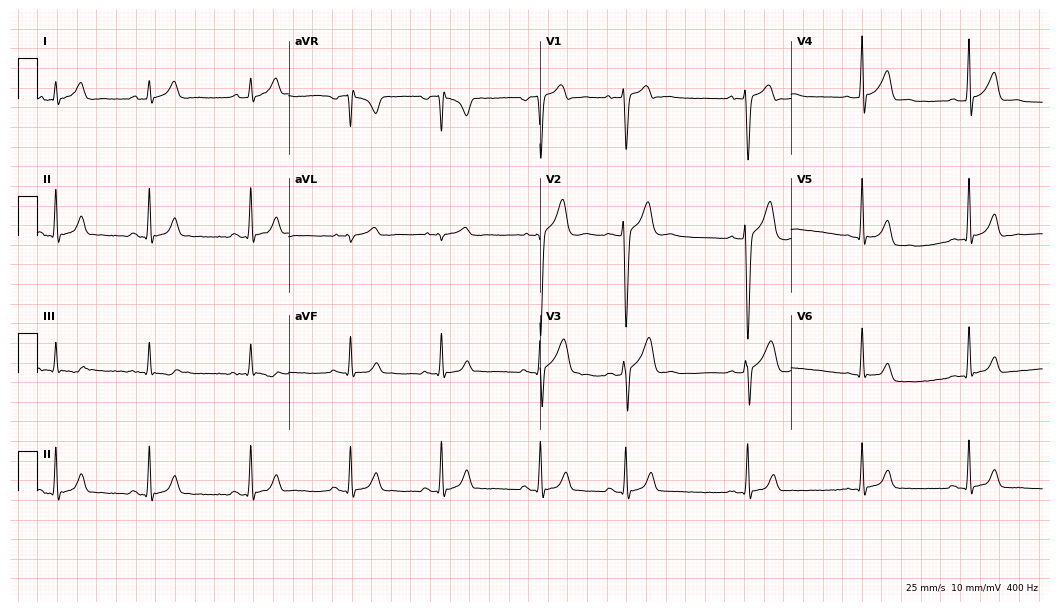
Standard 12-lead ECG recorded from a man, 23 years old (10.2-second recording at 400 Hz). None of these six findings is recorded: first-degree AV block, right bundle branch block (RBBB), left bundle branch block (LBBB), sinus bradycardia, atrial fibrillation (AF), sinus tachycardia. Only these six findings were labelled.